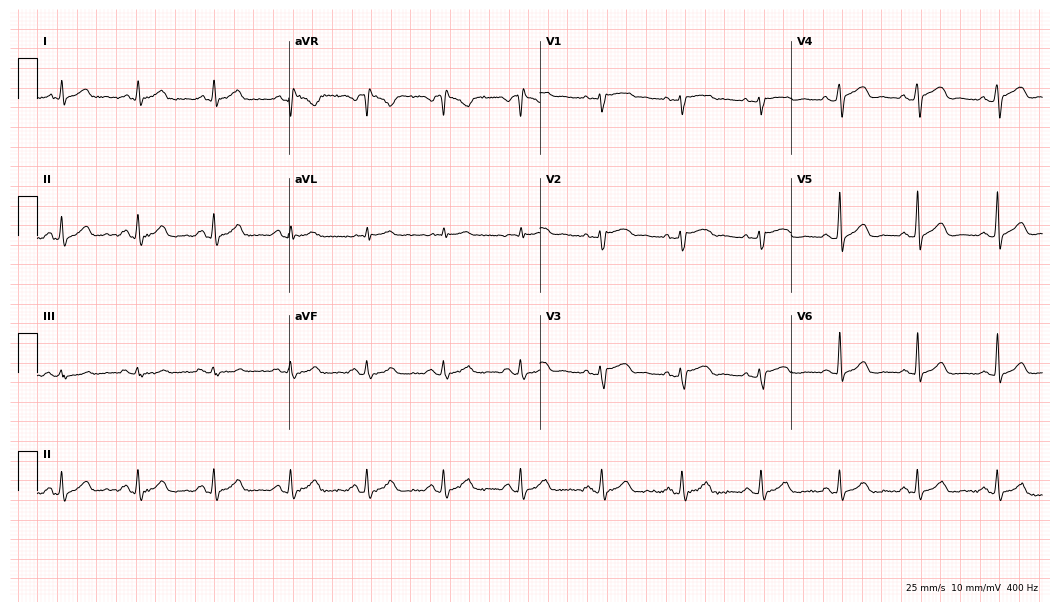
12-lead ECG from a 44-year-old woman. Recorded interpretation: within normal limits.